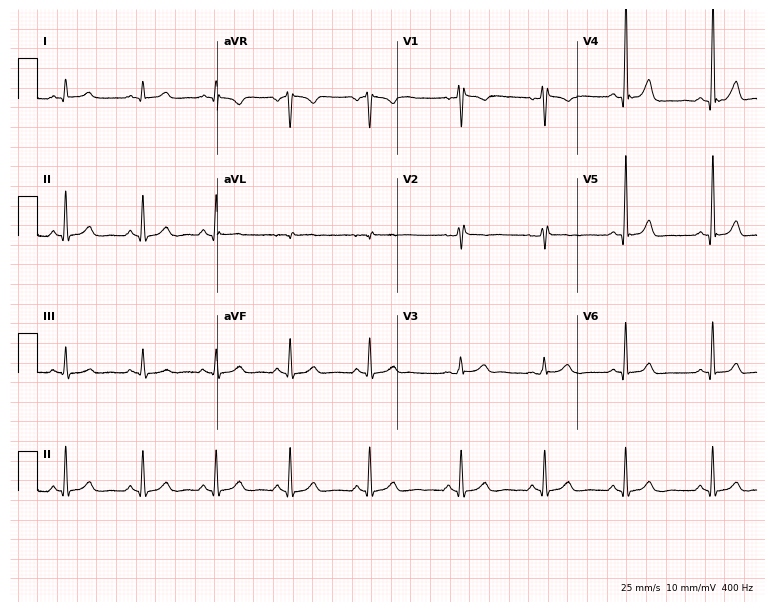
Resting 12-lead electrocardiogram (7.3-second recording at 400 Hz). Patient: a male, 27 years old. None of these six findings is recorded: first-degree AV block, right bundle branch block, left bundle branch block, sinus bradycardia, atrial fibrillation, sinus tachycardia. Findings outside these six are not listed.